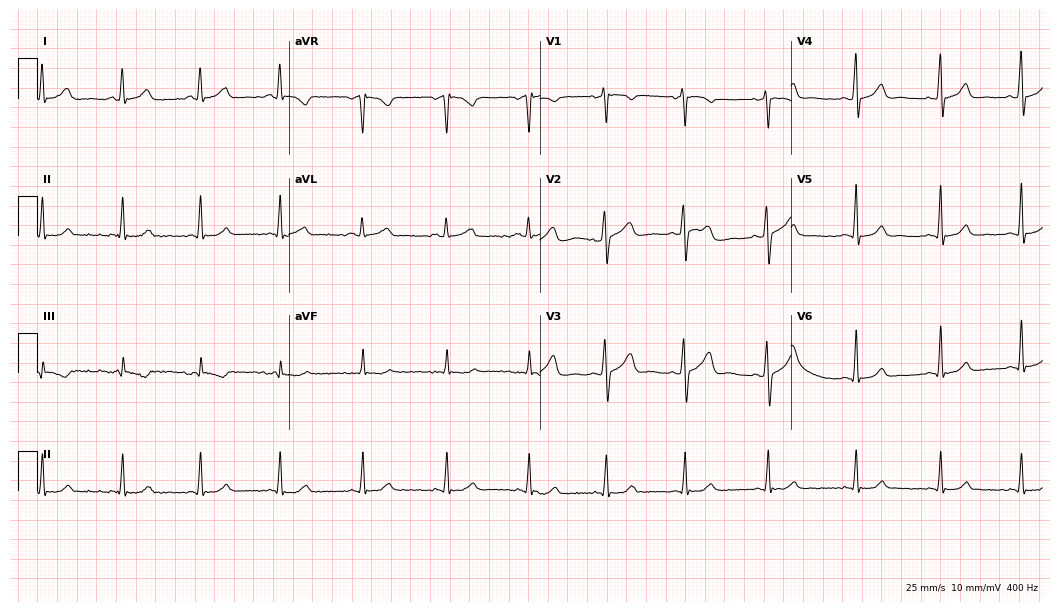
ECG (10.2-second recording at 400 Hz) — a male patient, 35 years old. Screened for six findings — first-degree AV block, right bundle branch block (RBBB), left bundle branch block (LBBB), sinus bradycardia, atrial fibrillation (AF), sinus tachycardia — none is recorded.